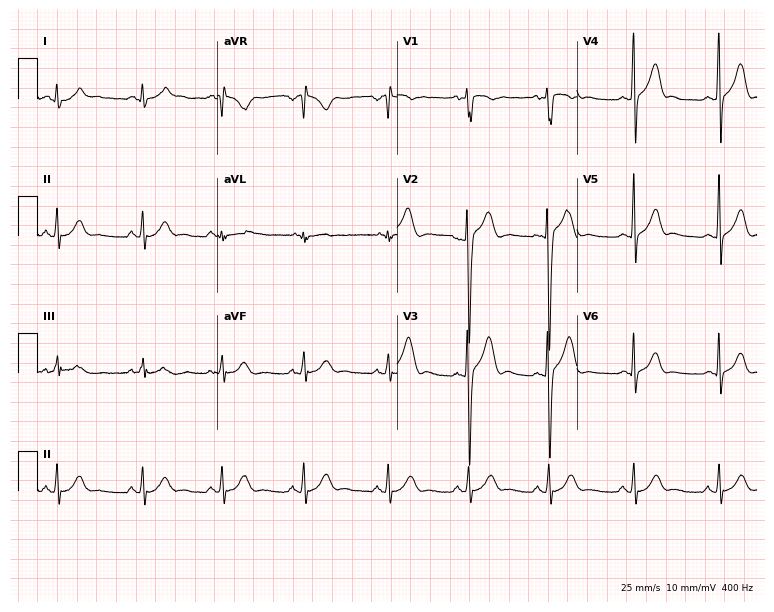
Electrocardiogram (7.3-second recording at 400 Hz), a 19-year-old male patient. Of the six screened findings (first-degree AV block, right bundle branch block, left bundle branch block, sinus bradycardia, atrial fibrillation, sinus tachycardia), none is recorded. Findings outside these six are not listed.